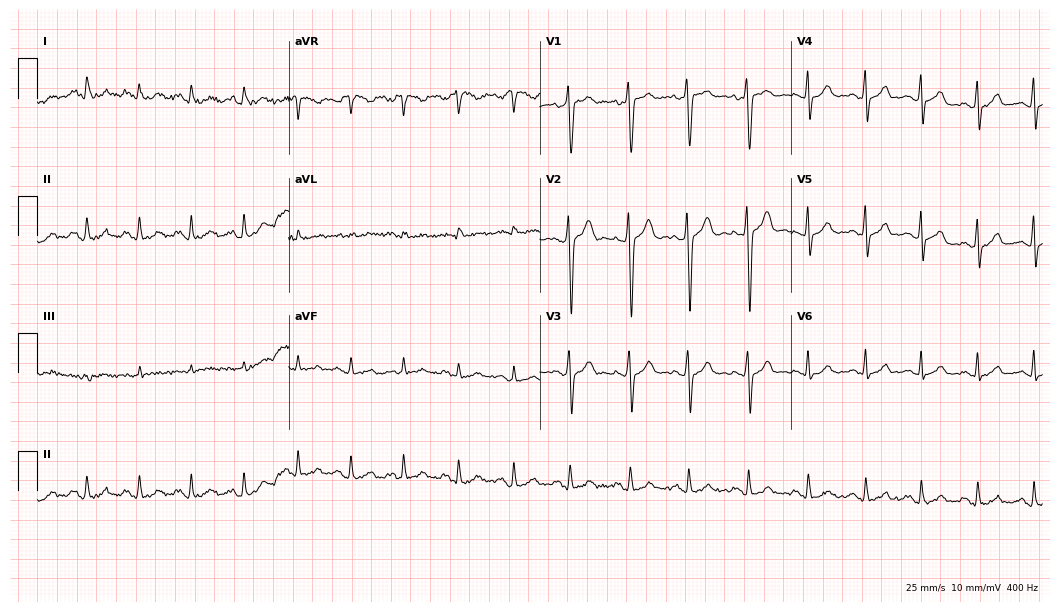
Resting 12-lead electrocardiogram (10.2-second recording at 400 Hz). Patient: a male, 20 years old. The tracing shows sinus tachycardia (a sinus rate of 100 beats per minute or more).